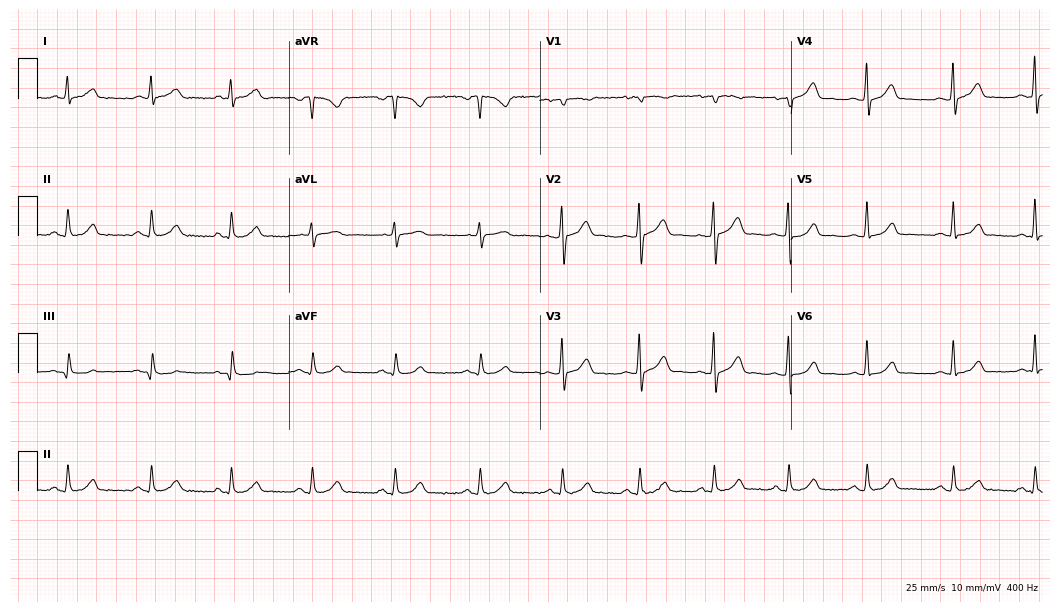
Standard 12-lead ECG recorded from a male patient, 35 years old (10.2-second recording at 400 Hz). Read as a normal ECG.